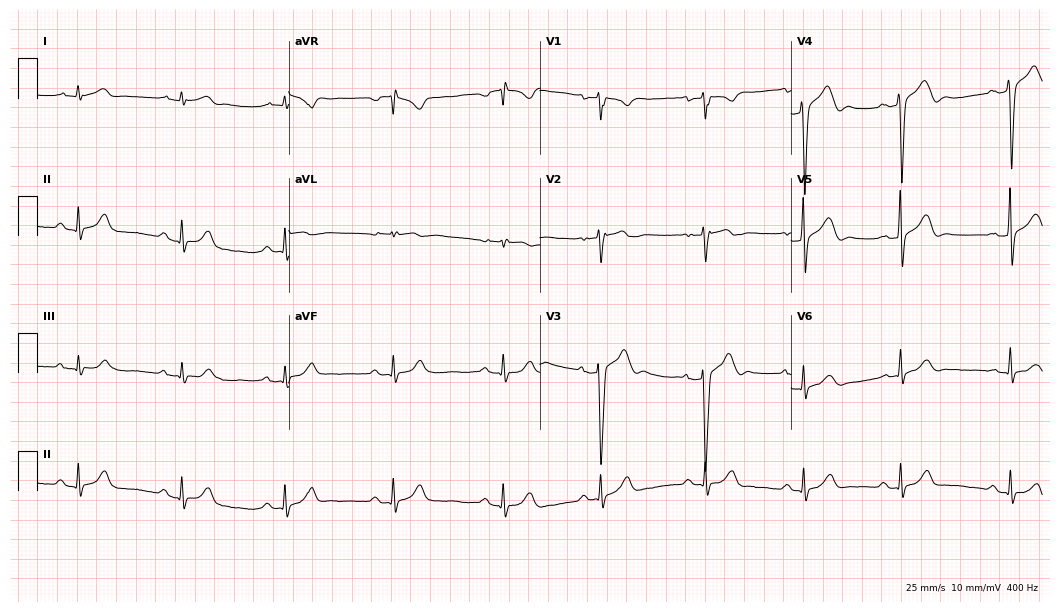
Standard 12-lead ECG recorded from a 25-year-old man (10.2-second recording at 400 Hz). Read as a normal ECG.